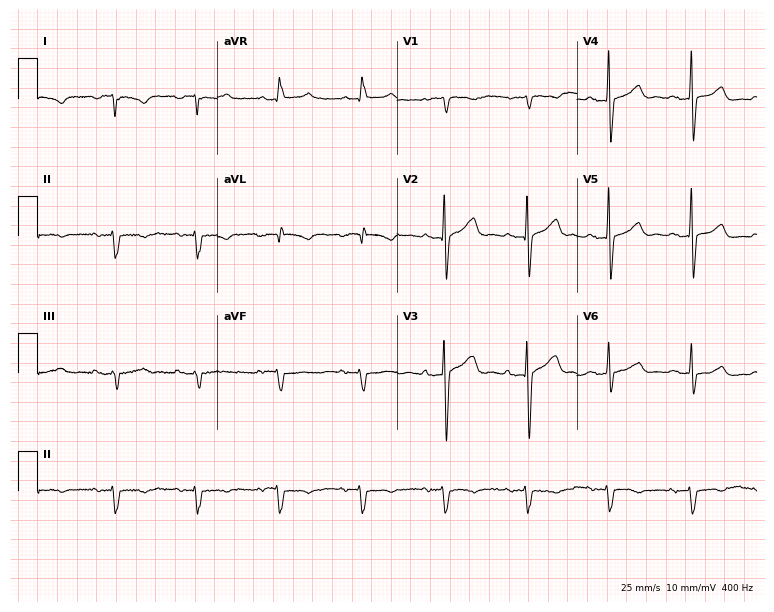
12-lead ECG from a 78-year-old male patient. No first-degree AV block, right bundle branch block, left bundle branch block, sinus bradycardia, atrial fibrillation or sinus tachycardia recorded for this tracing.